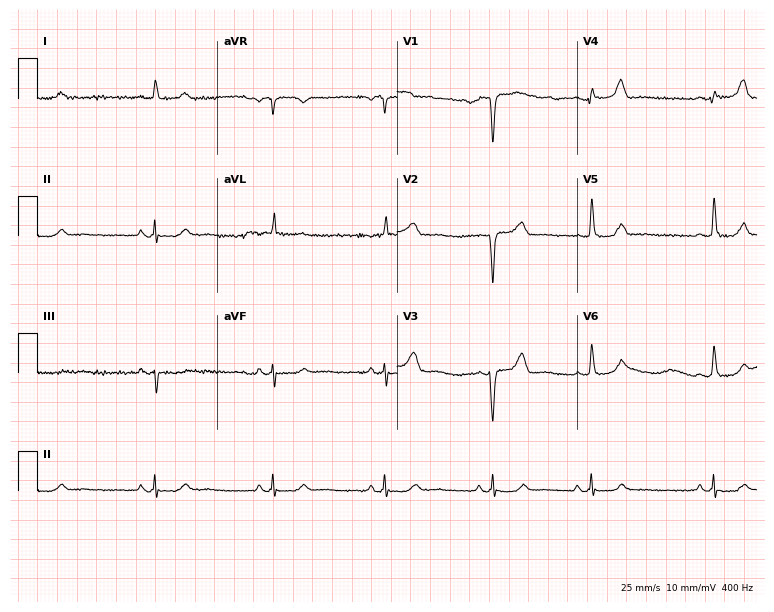
Resting 12-lead electrocardiogram. Patient: a 60-year-old male. None of these six findings is recorded: first-degree AV block, right bundle branch block, left bundle branch block, sinus bradycardia, atrial fibrillation, sinus tachycardia. Findings outside these six are not listed.